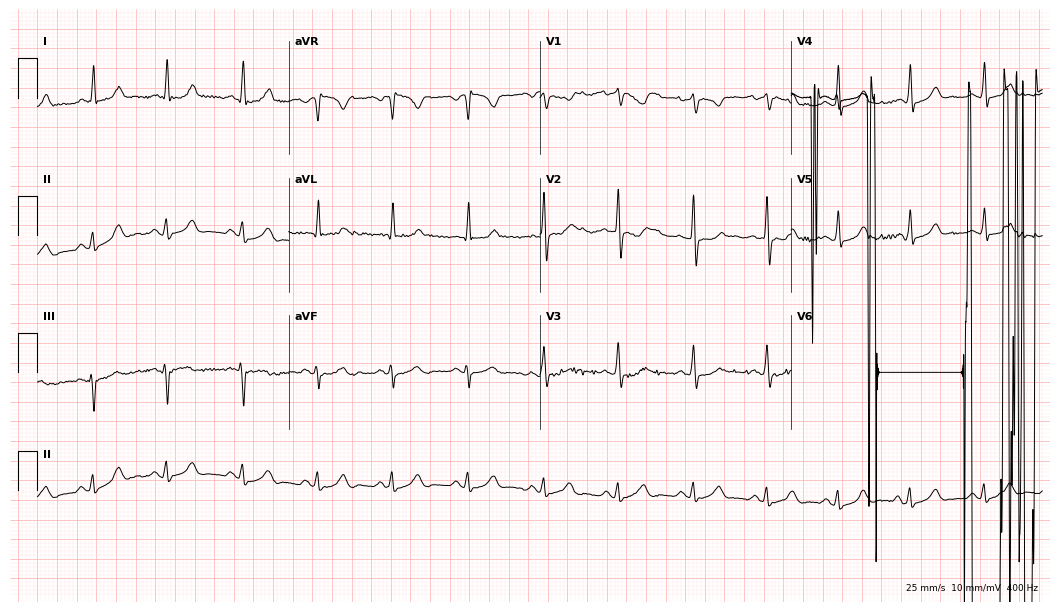
12-lead ECG from a 44-year-old female. No first-degree AV block, right bundle branch block, left bundle branch block, sinus bradycardia, atrial fibrillation or sinus tachycardia recorded for this tracing. Other findings, if any, are not listed.